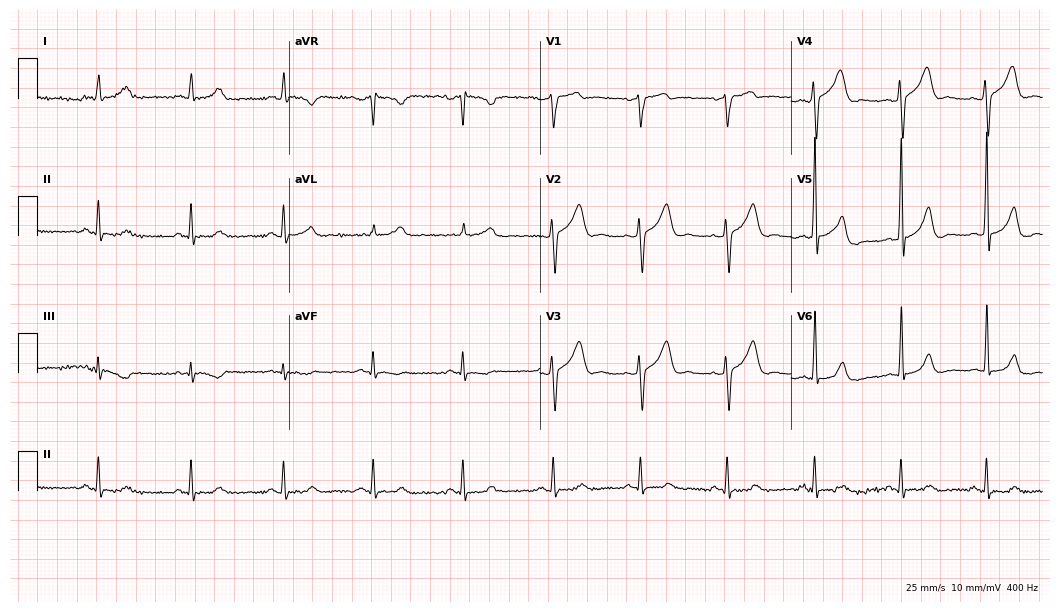
12-lead ECG from a 47-year-old male. Labelled as a normal ECG.